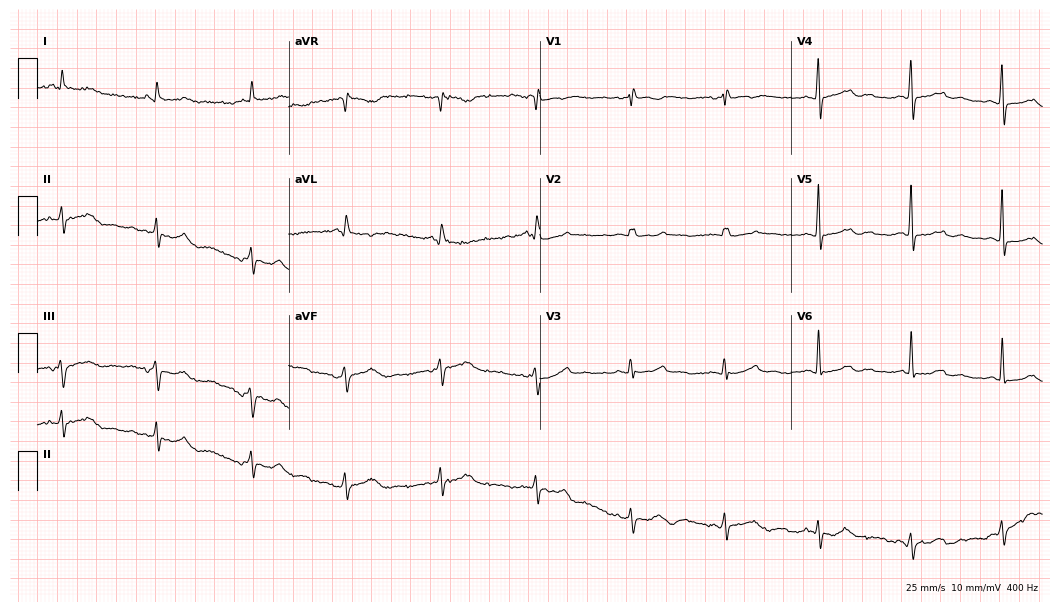
ECG (10.2-second recording at 400 Hz) — a 77-year-old woman. Screened for six findings — first-degree AV block, right bundle branch block, left bundle branch block, sinus bradycardia, atrial fibrillation, sinus tachycardia — none is recorded.